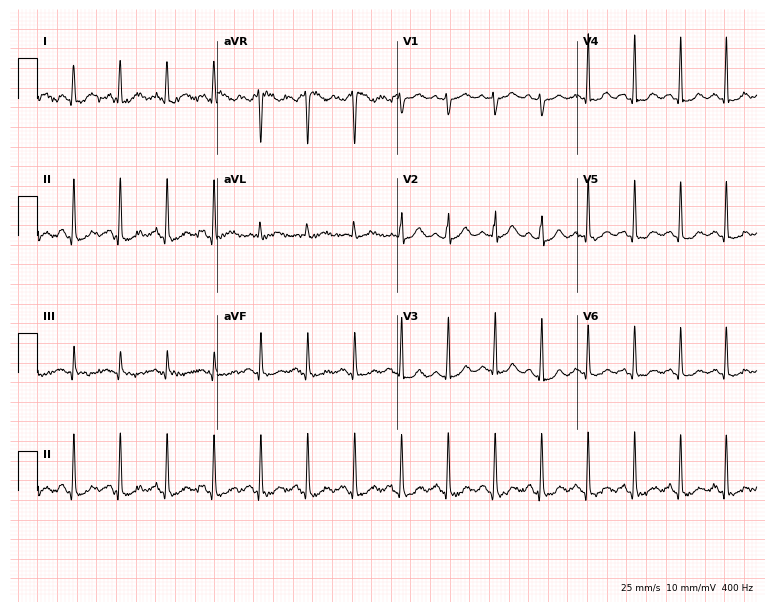
Resting 12-lead electrocardiogram (7.3-second recording at 400 Hz). Patient: a female, 51 years old. The tracing shows sinus tachycardia (a sinus rate of 100 beats per minute or more).